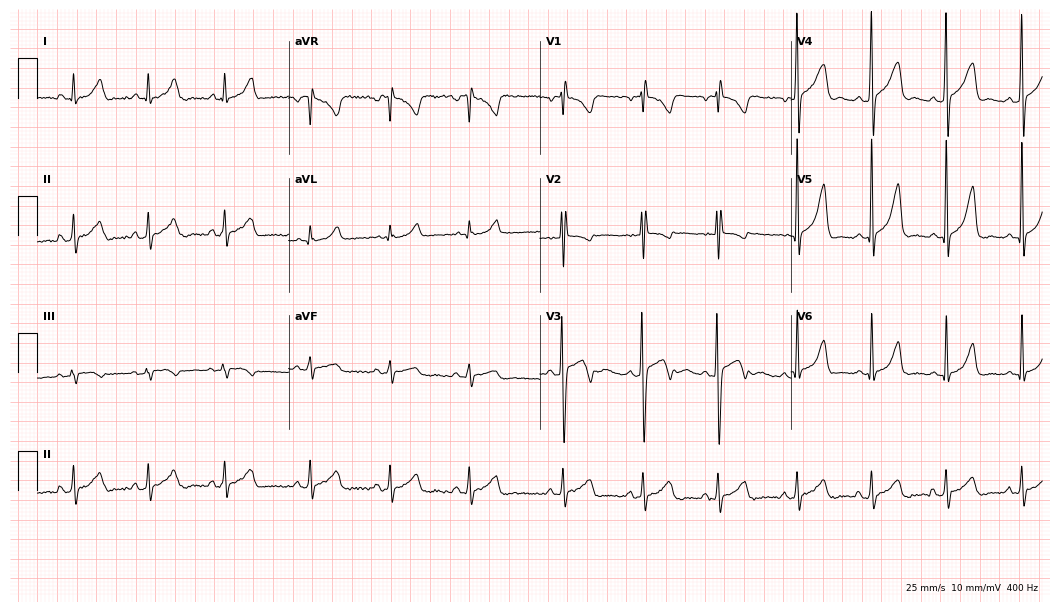
ECG — a 75-year-old male patient. Screened for six findings — first-degree AV block, right bundle branch block, left bundle branch block, sinus bradycardia, atrial fibrillation, sinus tachycardia — none is recorded. Only these six findings were labelled.